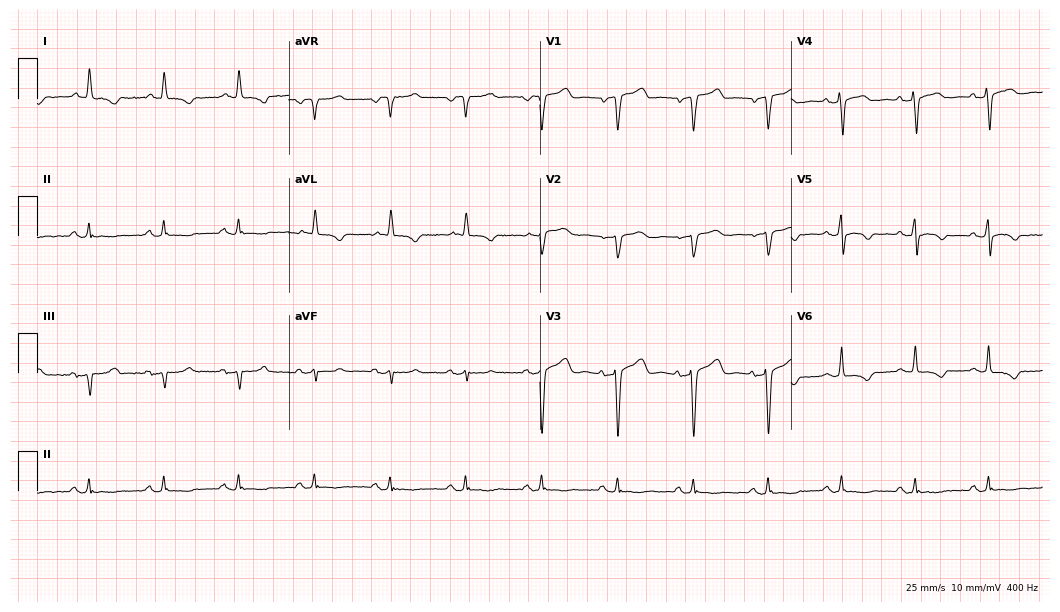
Standard 12-lead ECG recorded from a male, 67 years old. None of these six findings is recorded: first-degree AV block, right bundle branch block, left bundle branch block, sinus bradycardia, atrial fibrillation, sinus tachycardia.